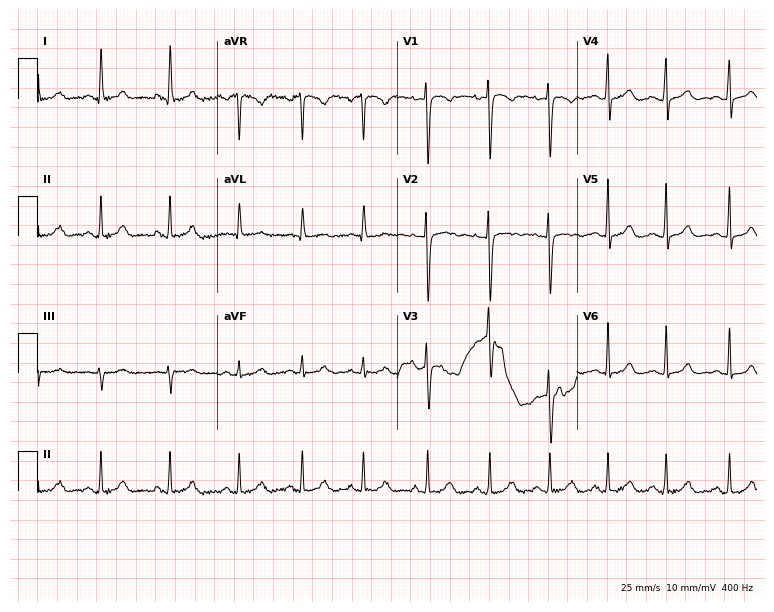
Standard 12-lead ECG recorded from a 31-year-old female patient. None of these six findings is recorded: first-degree AV block, right bundle branch block (RBBB), left bundle branch block (LBBB), sinus bradycardia, atrial fibrillation (AF), sinus tachycardia. Other findings, if any, are not listed.